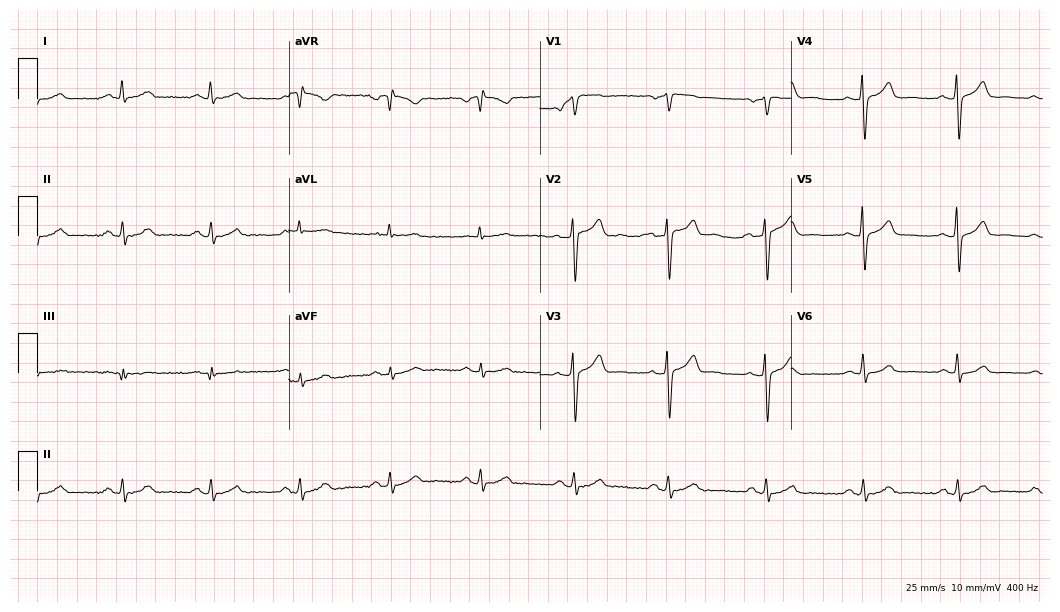
12-lead ECG from a man, 53 years old. Labelled as a normal ECG.